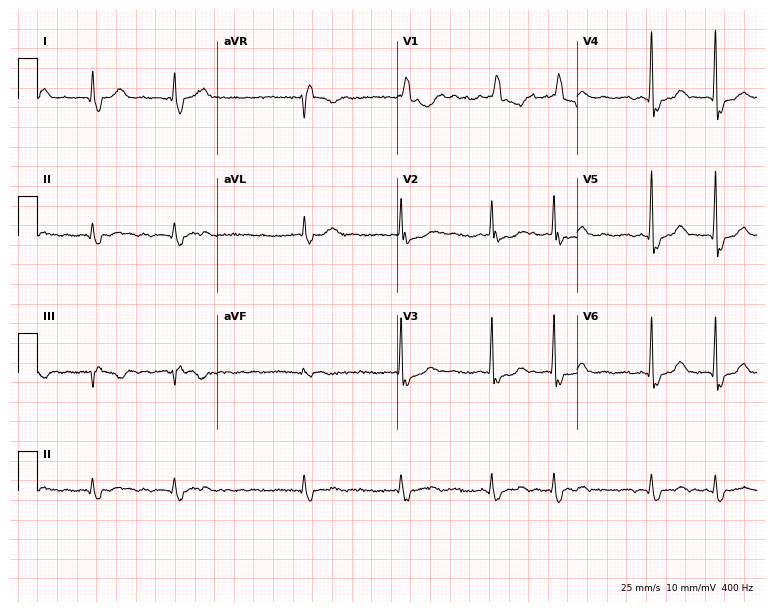
Electrocardiogram (7.3-second recording at 400 Hz), a female, 81 years old. Interpretation includes right bundle branch block, atrial fibrillation.